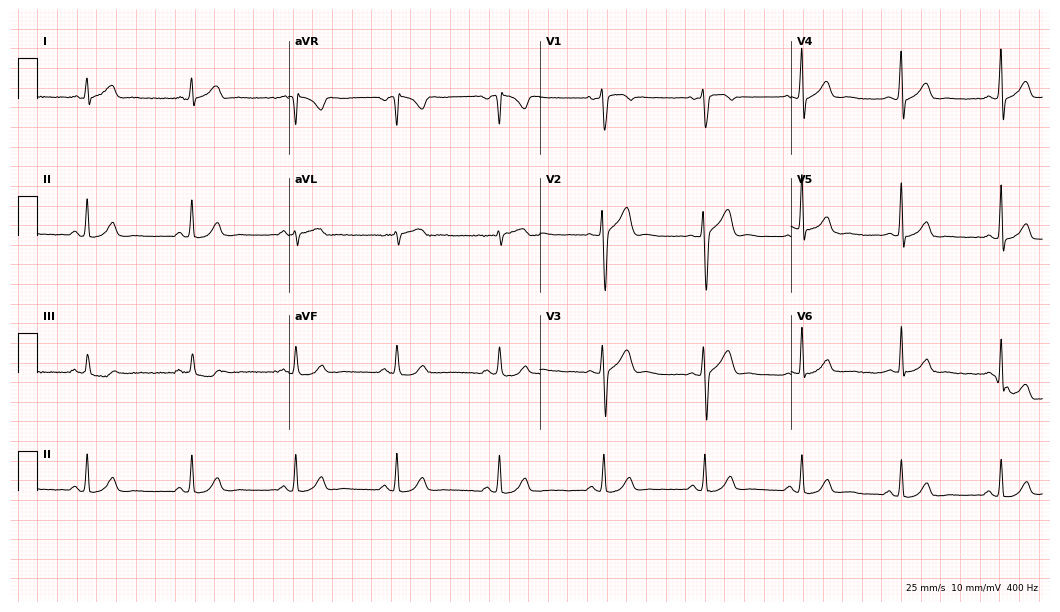
12-lead ECG from a 33-year-old man (10.2-second recording at 400 Hz). No first-degree AV block, right bundle branch block, left bundle branch block, sinus bradycardia, atrial fibrillation or sinus tachycardia recorded for this tracing.